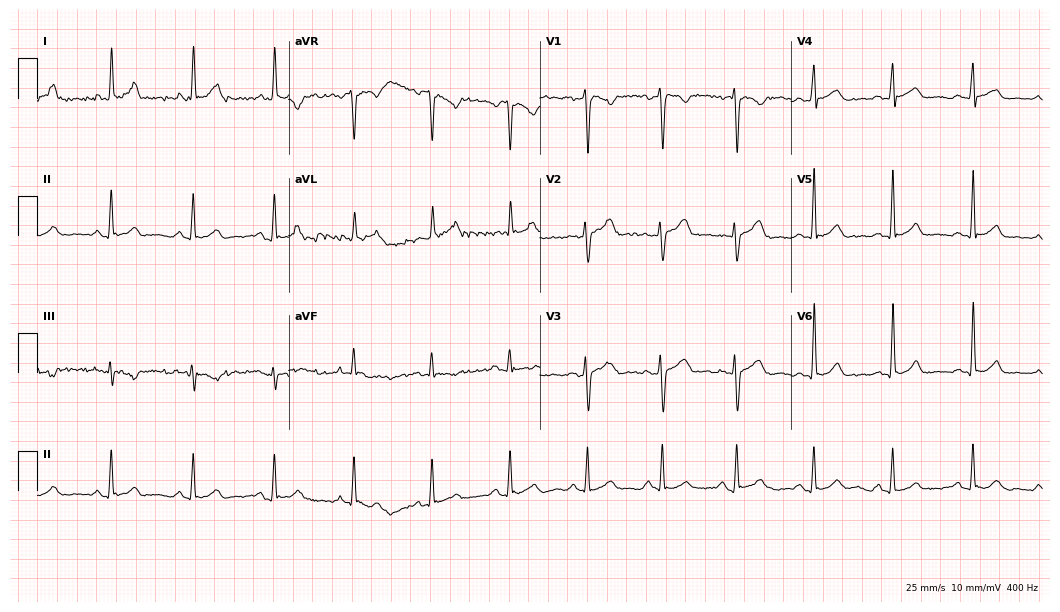
12-lead ECG from a 44-year-old male patient. Recorded interpretation: within normal limits.